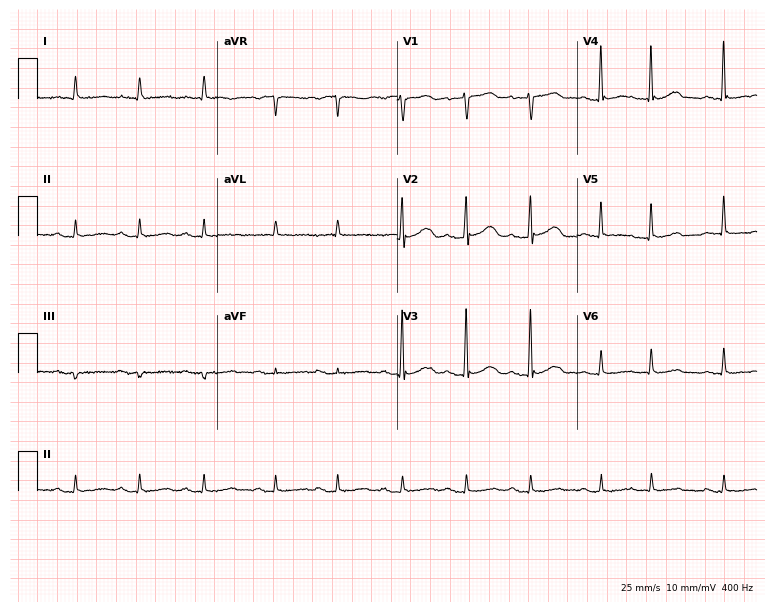
Standard 12-lead ECG recorded from a 66-year-old female patient. None of these six findings is recorded: first-degree AV block, right bundle branch block, left bundle branch block, sinus bradycardia, atrial fibrillation, sinus tachycardia. Findings outside these six are not listed.